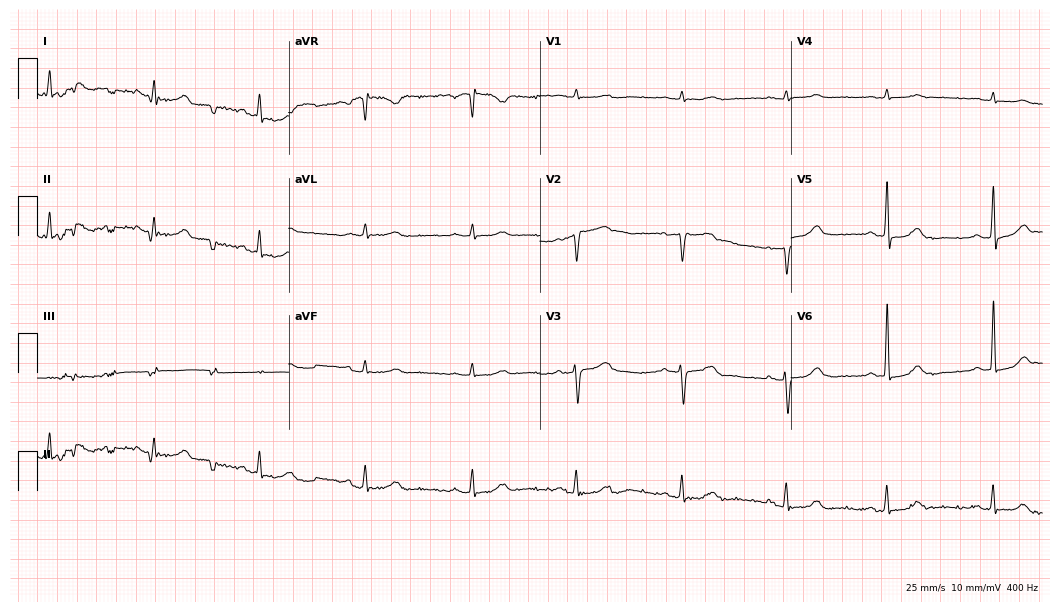
Resting 12-lead electrocardiogram (10.2-second recording at 400 Hz). Patient: a woman, 60 years old. Read as a normal ECG.